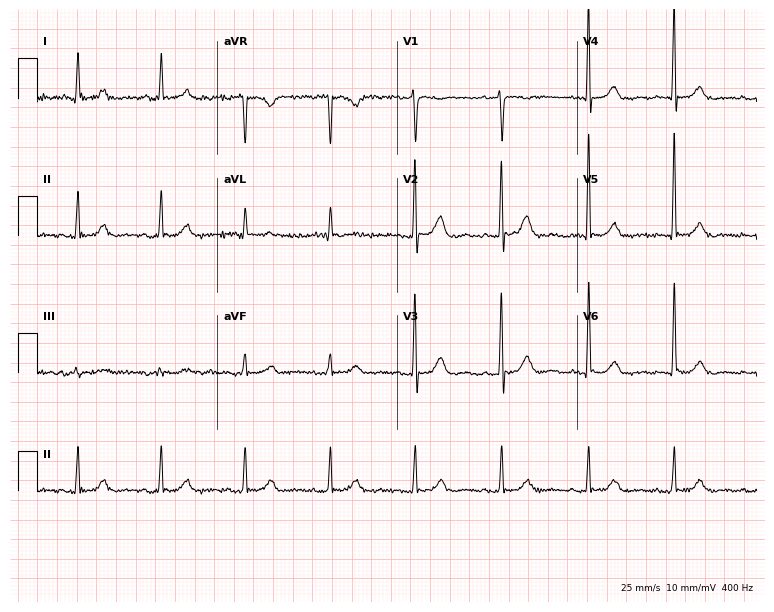
Electrocardiogram, a male, 85 years old. Overall reading on record: normal ECG.